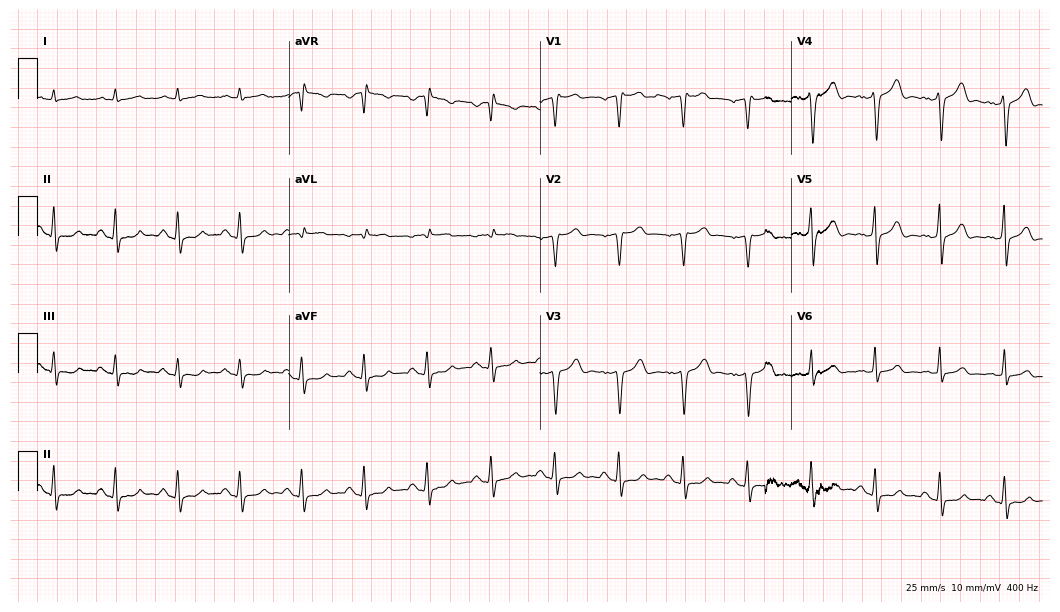
Resting 12-lead electrocardiogram (10.2-second recording at 400 Hz). Patient: a male, 62 years old. None of these six findings is recorded: first-degree AV block, right bundle branch block, left bundle branch block, sinus bradycardia, atrial fibrillation, sinus tachycardia.